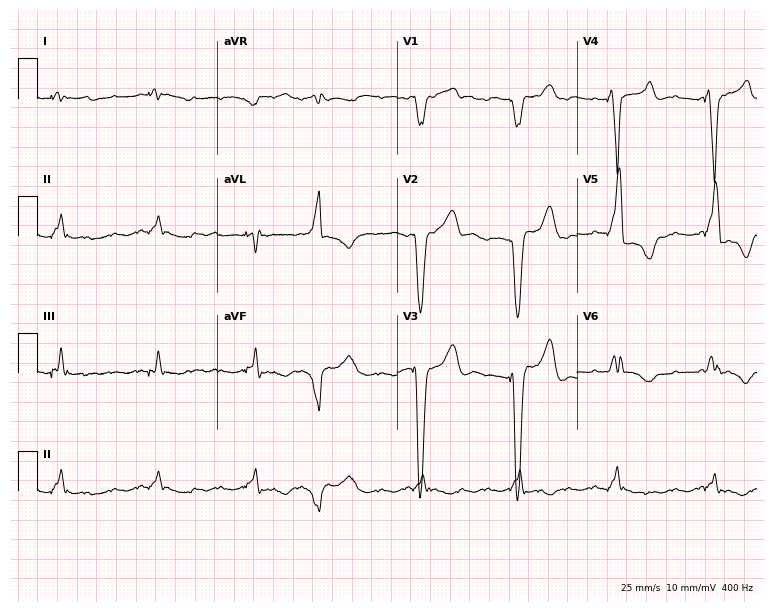
Electrocardiogram, a man, 63 years old. Of the six screened findings (first-degree AV block, right bundle branch block, left bundle branch block, sinus bradycardia, atrial fibrillation, sinus tachycardia), none is recorded.